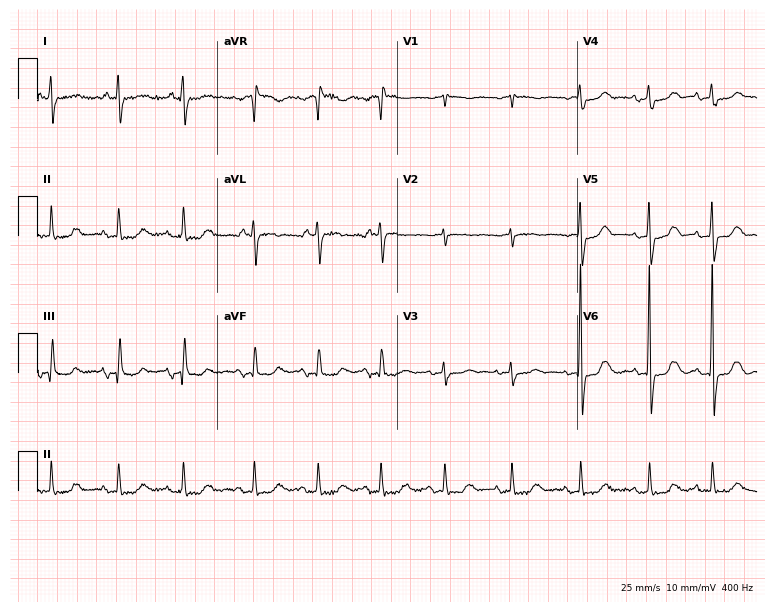
Resting 12-lead electrocardiogram. Patient: an 80-year-old female. Read as a normal ECG.